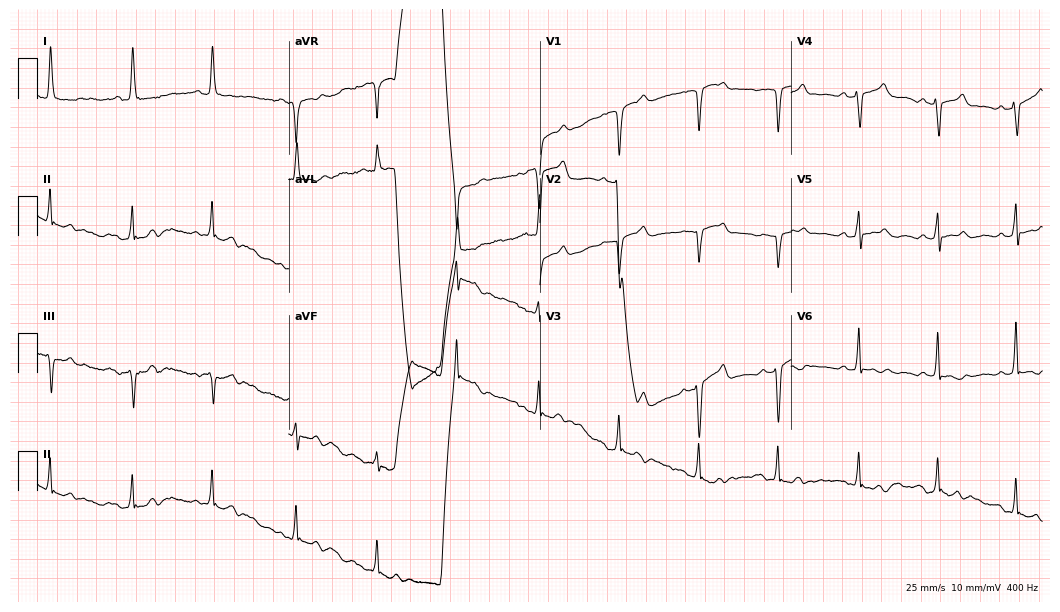
ECG — a woman, 60 years old. Screened for six findings — first-degree AV block, right bundle branch block (RBBB), left bundle branch block (LBBB), sinus bradycardia, atrial fibrillation (AF), sinus tachycardia — none is recorded. Only these six findings were labelled.